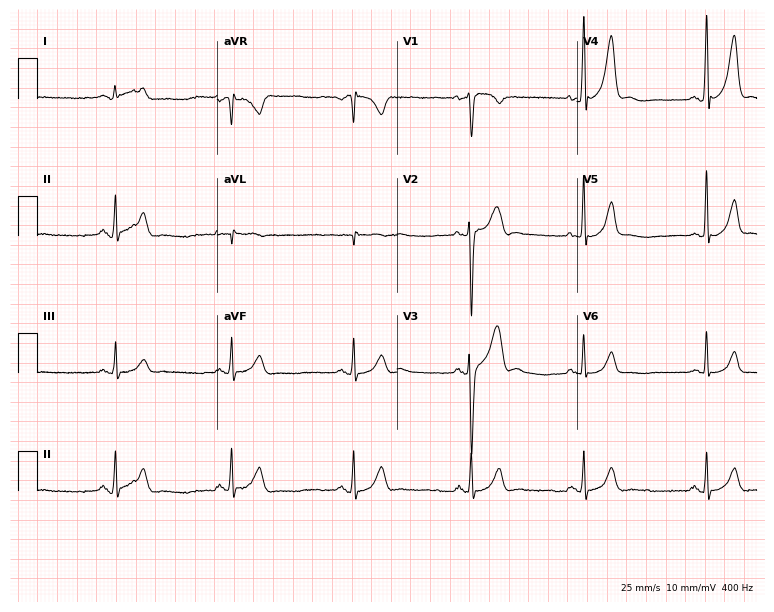
ECG — a male, 37 years old. Findings include sinus bradycardia (a sinus rate of 50 beats per minute or less).